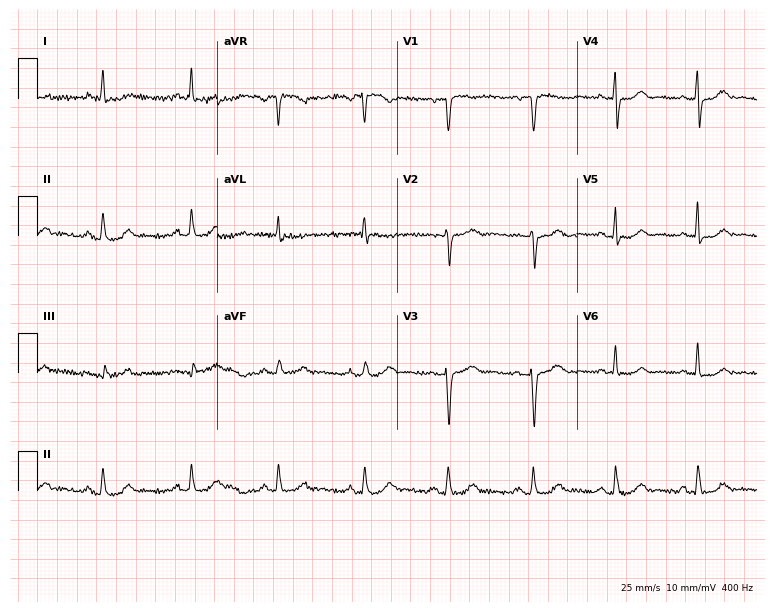
ECG (7.3-second recording at 400 Hz) — a woman, 52 years old. Screened for six findings — first-degree AV block, right bundle branch block (RBBB), left bundle branch block (LBBB), sinus bradycardia, atrial fibrillation (AF), sinus tachycardia — none is recorded.